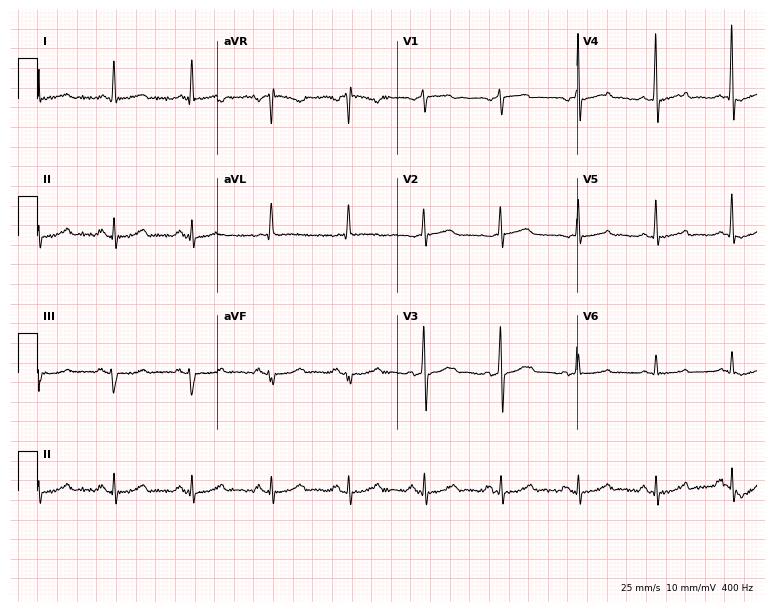
ECG (7.3-second recording at 400 Hz) — a 62-year-old woman. Labelled as a normal ECG.